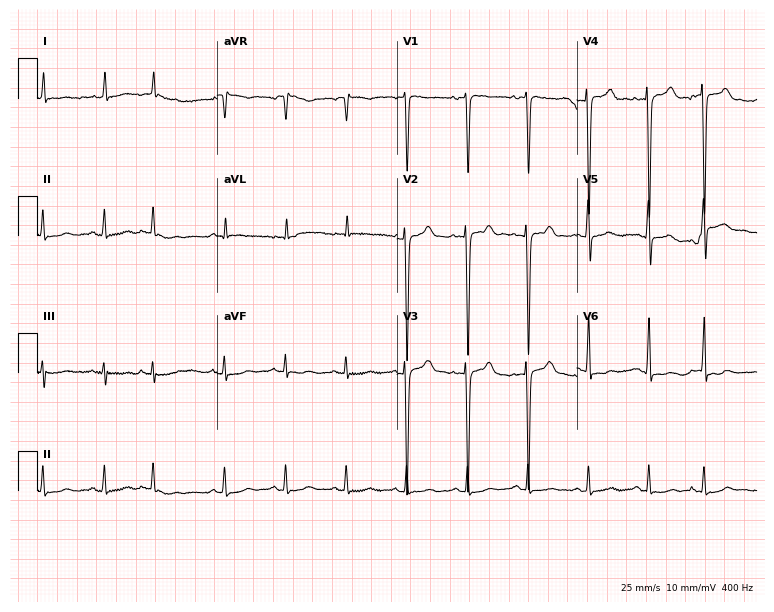
Standard 12-lead ECG recorded from an 84-year-old female patient (7.3-second recording at 400 Hz). None of these six findings is recorded: first-degree AV block, right bundle branch block, left bundle branch block, sinus bradycardia, atrial fibrillation, sinus tachycardia.